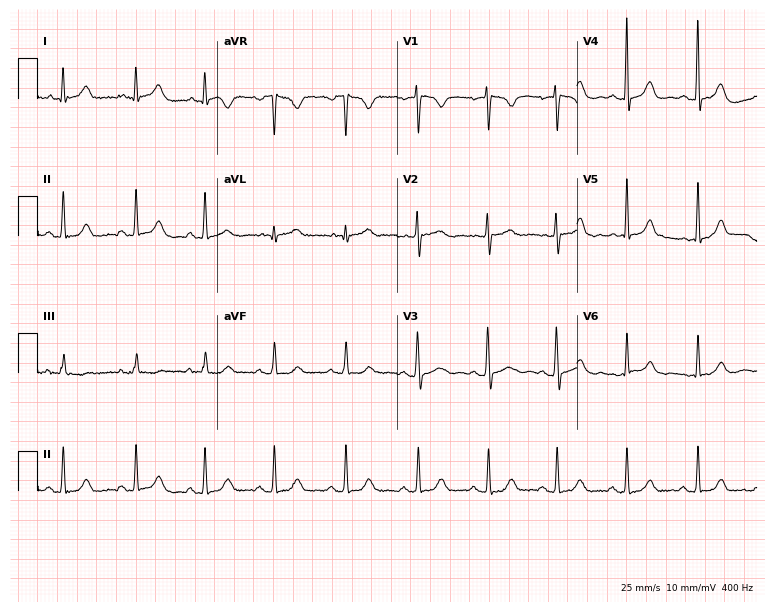
12-lead ECG from a woman, 36 years old. Recorded interpretation: within normal limits.